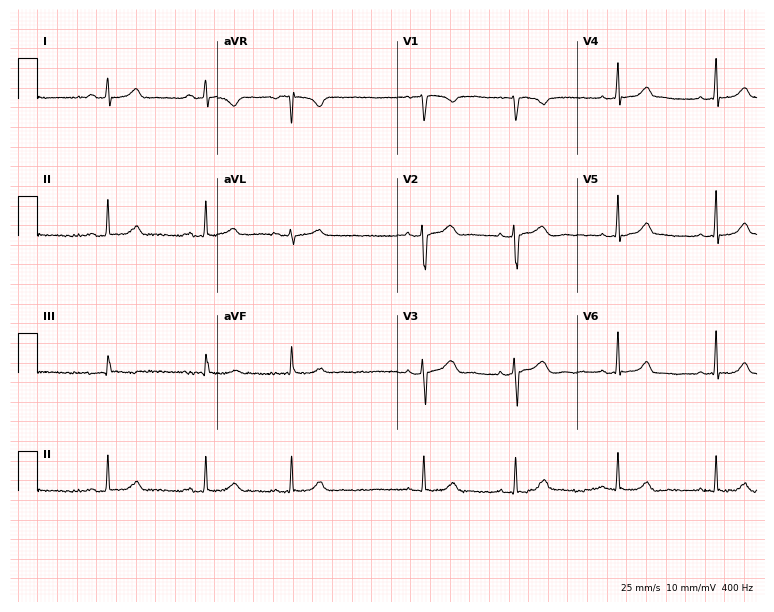
ECG — a female, 32 years old. Labelled as a normal ECG.